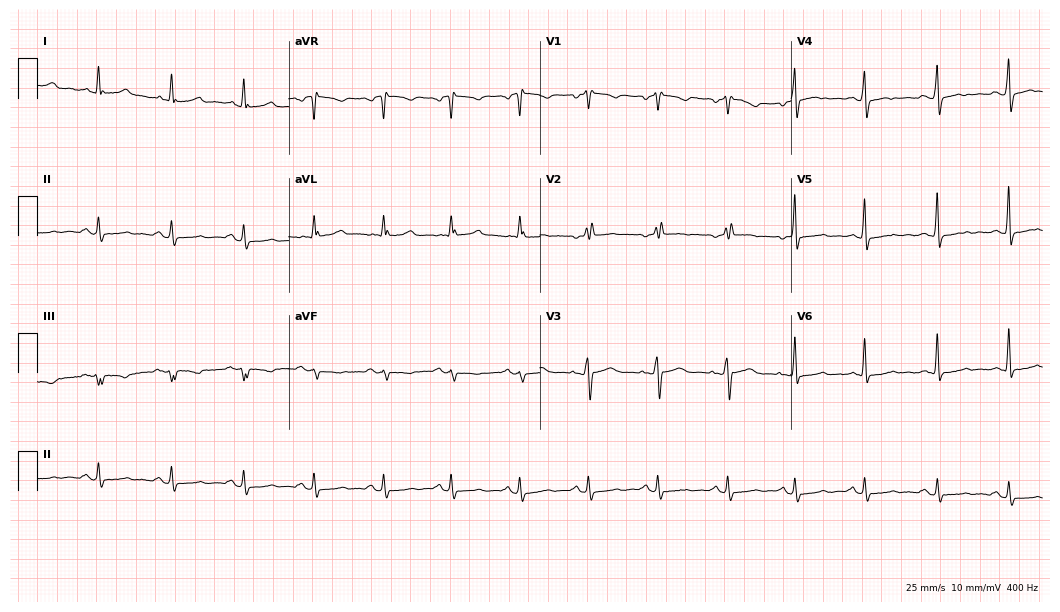
12-lead ECG from a female patient, 42 years old (10.2-second recording at 400 Hz). No first-degree AV block, right bundle branch block, left bundle branch block, sinus bradycardia, atrial fibrillation or sinus tachycardia recorded for this tracing.